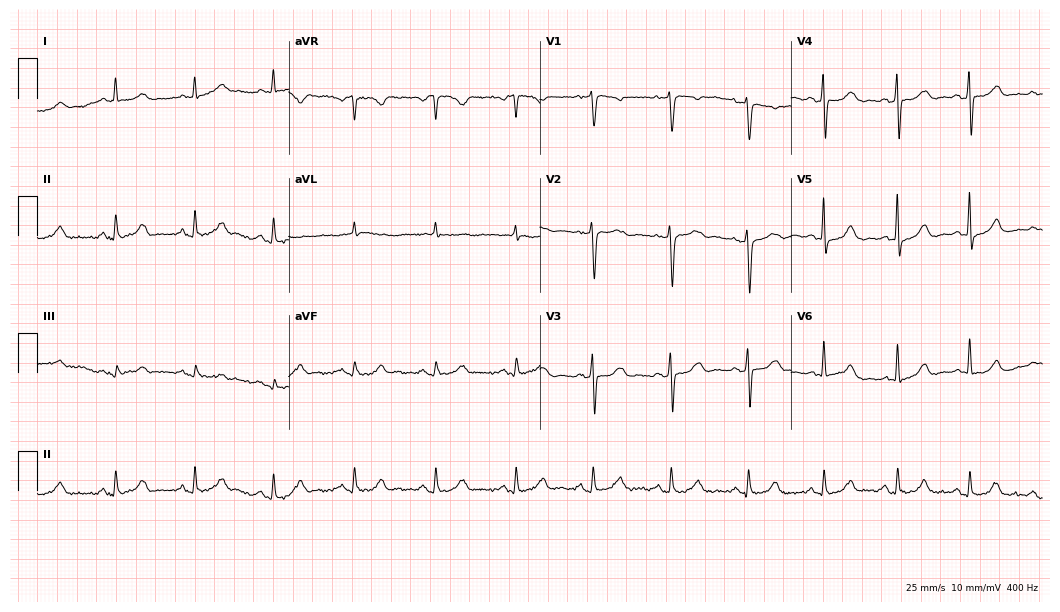
12-lead ECG (10.2-second recording at 400 Hz) from a female, 68 years old. Labelled as a normal ECG.